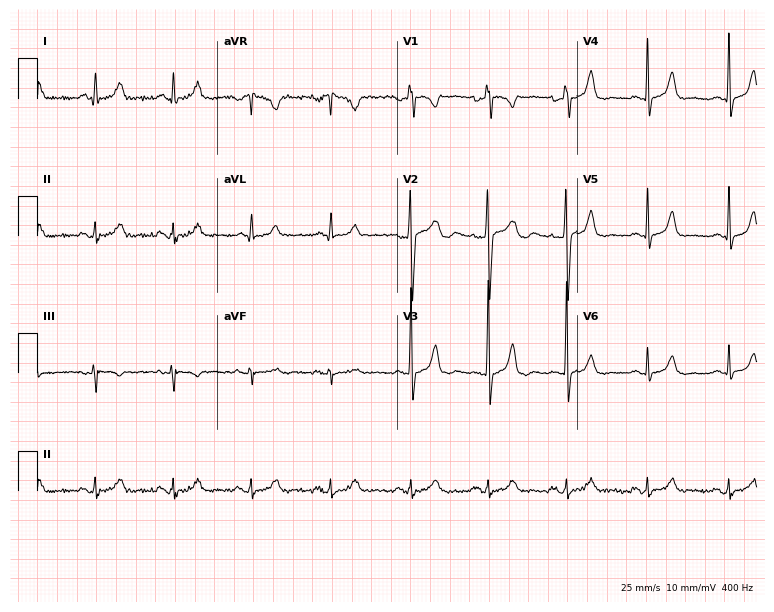
ECG (7.3-second recording at 400 Hz) — a female patient, 31 years old. Screened for six findings — first-degree AV block, right bundle branch block, left bundle branch block, sinus bradycardia, atrial fibrillation, sinus tachycardia — none is recorded.